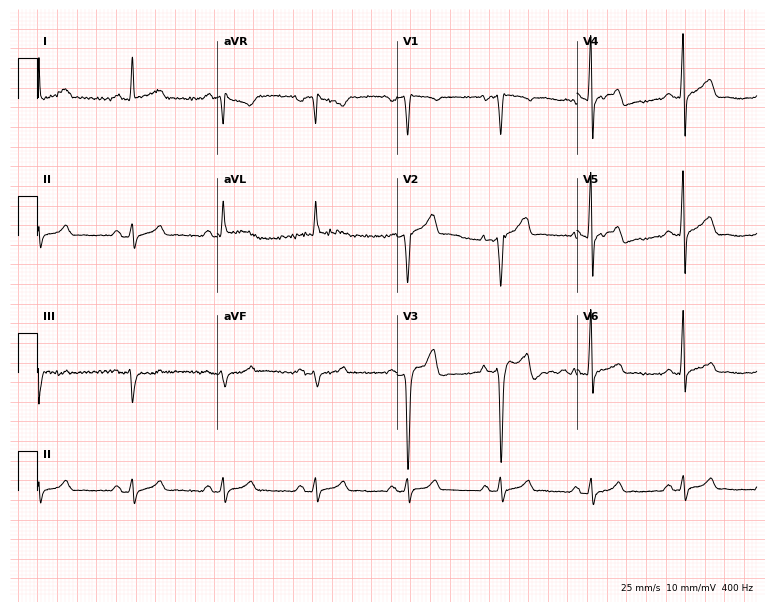
ECG (7.3-second recording at 400 Hz) — a 67-year-old man. Screened for six findings — first-degree AV block, right bundle branch block (RBBB), left bundle branch block (LBBB), sinus bradycardia, atrial fibrillation (AF), sinus tachycardia — none is recorded.